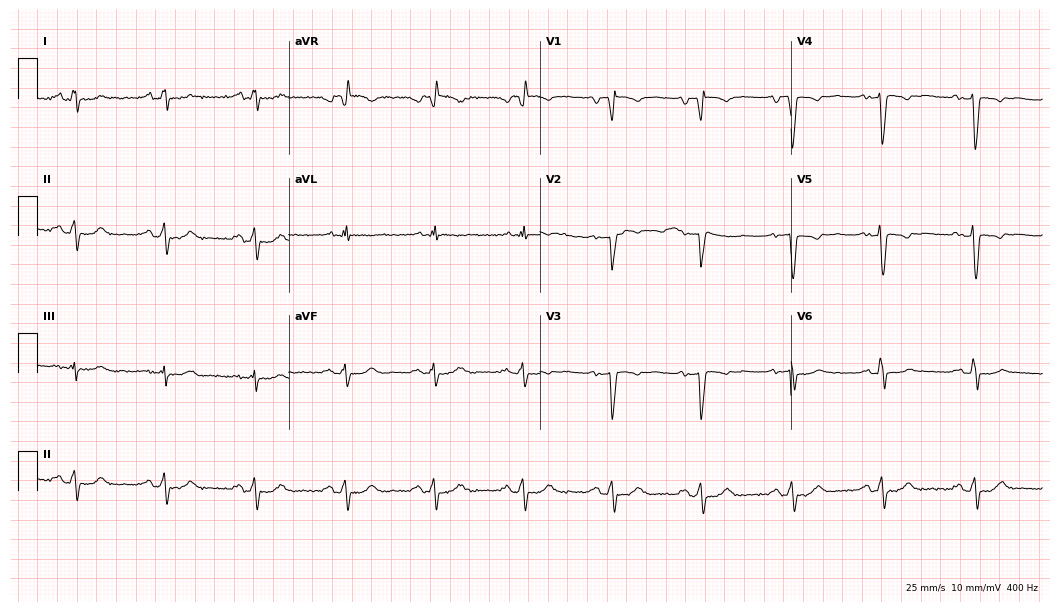
Resting 12-lead electrocardiogram (10.2-second recording at 400 Hz). Patient: a 75-year-old man. None of these six findings is recorded: first-degree AV block, right bundle branch block (RBBB), left bundle branch block (LBBB), sinus bradycardia, atrial fibrillation (AF), sinus tachycardia.